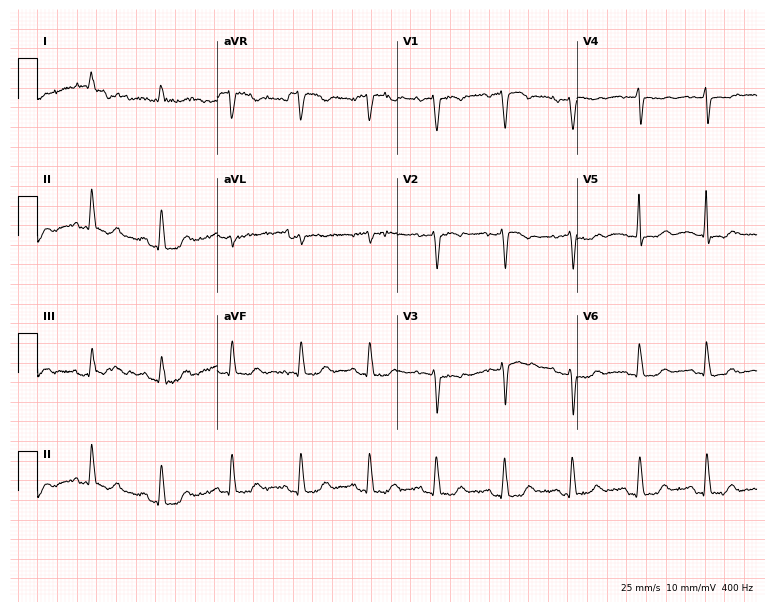
Standard 12-lead ECG recorded from a 70-year-old female patient (7.3-second recording at 400 Hz). None of these six findings is recorded: first-degree AV block, right bundle branch block, left bundle branch block, sinus bradycardia, atrial fibrillation, sinus tachycardia.